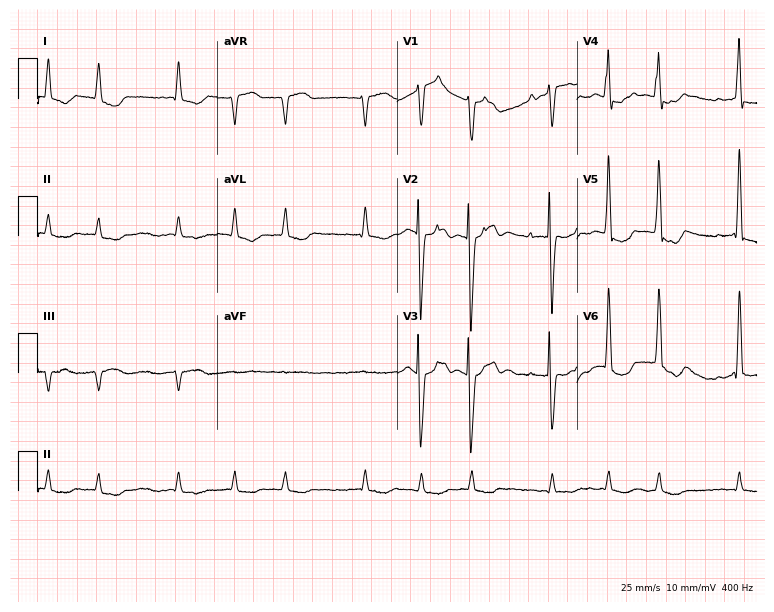
12-lead ECG from an 81-year-old female patient. Shows atrial fibrillation.